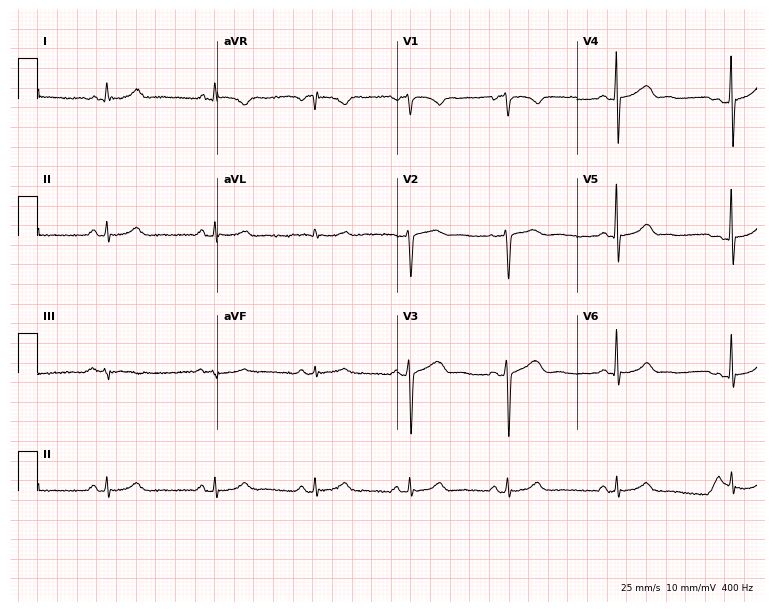
Resting 12-lead electrocardiogram (7.3-second recording at 400 Hz). Patient: a 52-year-old male. Read as a normal ECG.